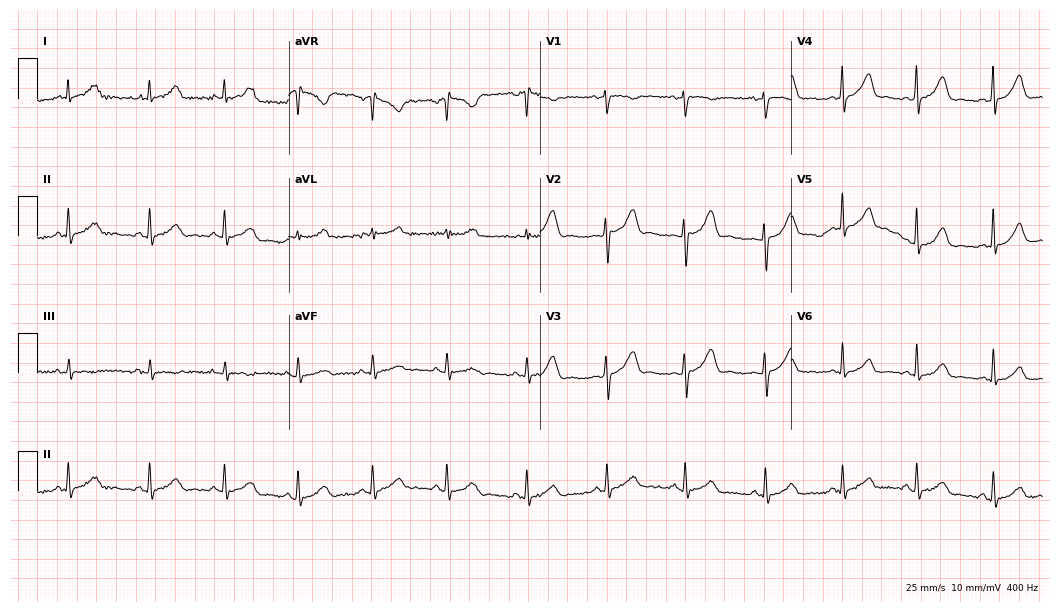
12-lead ECG from a 47-year-old female patient. No first-degree AV block, right bundle branch block, left bundle branch block, sinus bradycardia, atrial fibrillation or sinus tachycardia recorded for this tracing.